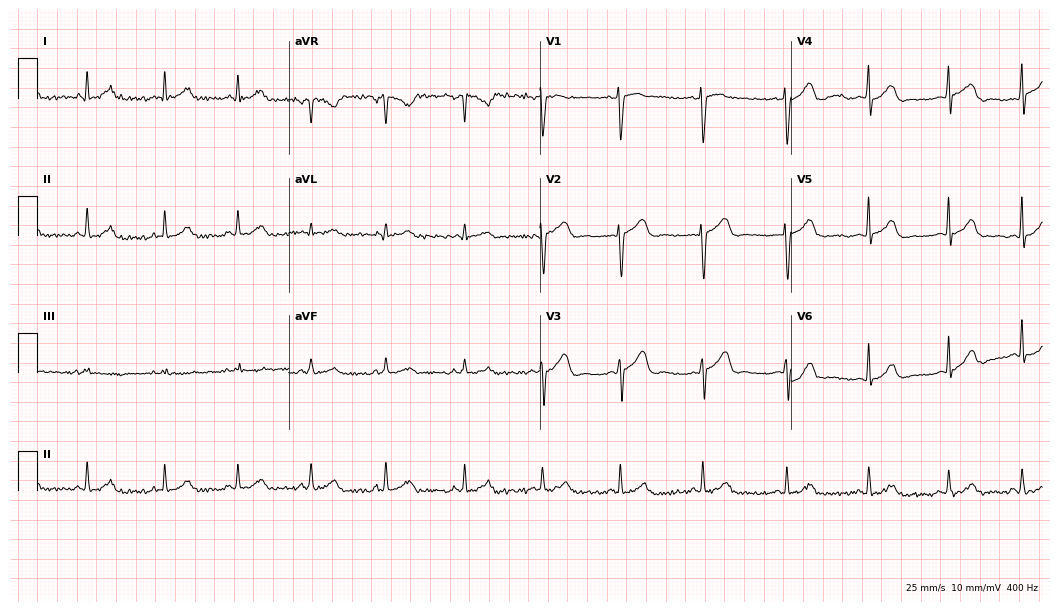
12-lead ECG from a woman, 39 years old. Recorded interpretation: within normal limits.